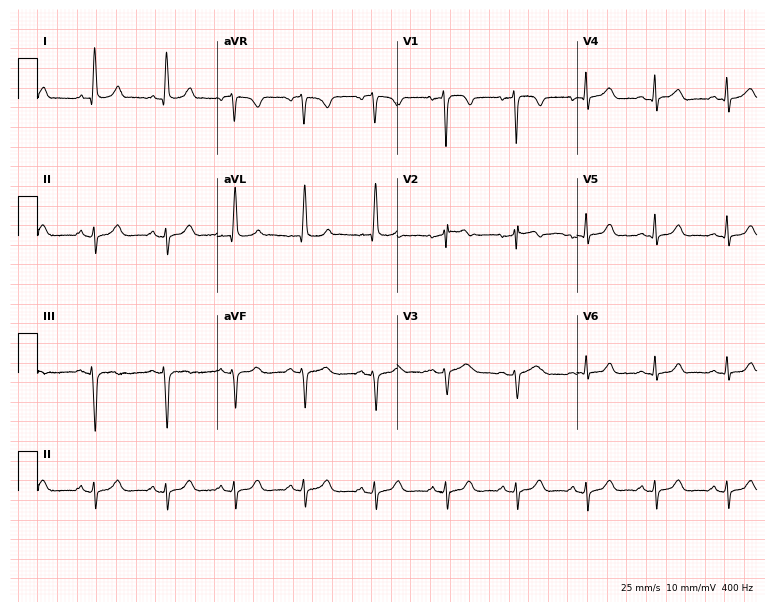
ECG — a 41-year-old female. Screened for six findings — first-degree AV block, right bundle branch block, left bundle branch block, sinus bradycardia, atrial fibrillation, sinus tachycardia — none is recorded. Only these six findings were labelled.